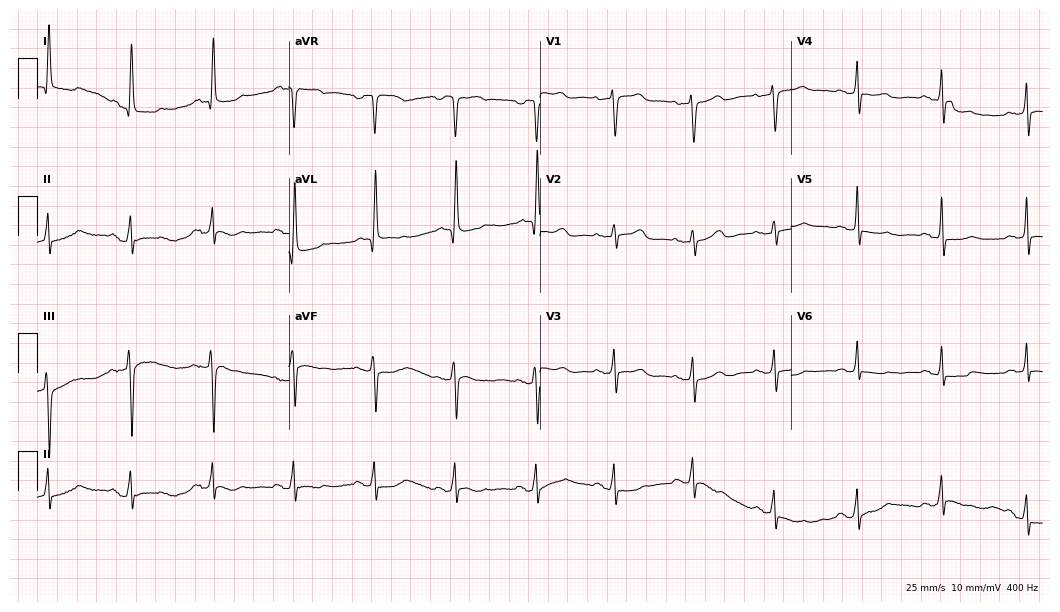
12-lead ECG (10.2-second recording at 400 Hz) from a female, 67 years old. Screened for six findings — first-degree AV block, right bundle branch block (RBBB), left bundle branch block (LBBB), sinus bradycardia, atrial fibrillation (AF), sinus tachycardia — none is recorded. Findings outside these six are not listed.